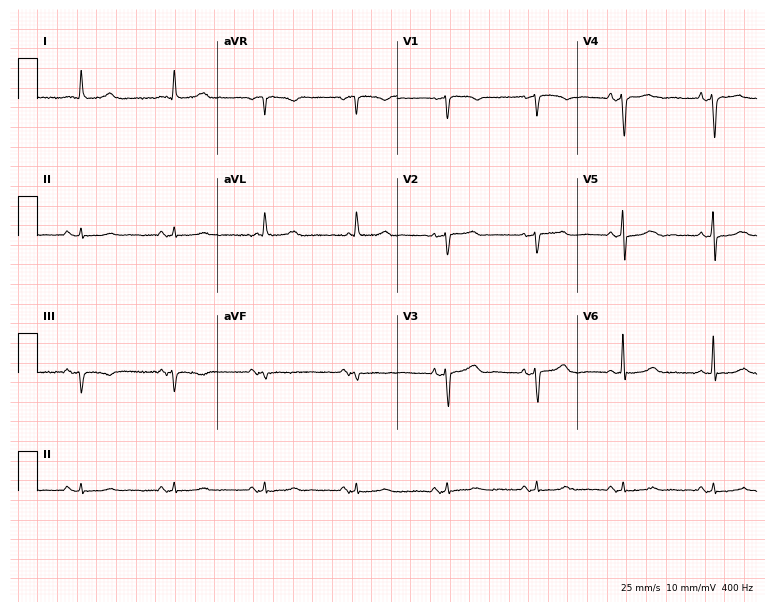
12-lead ECG from a woman, 79 years old. Recorded interpretation: within normal limits.